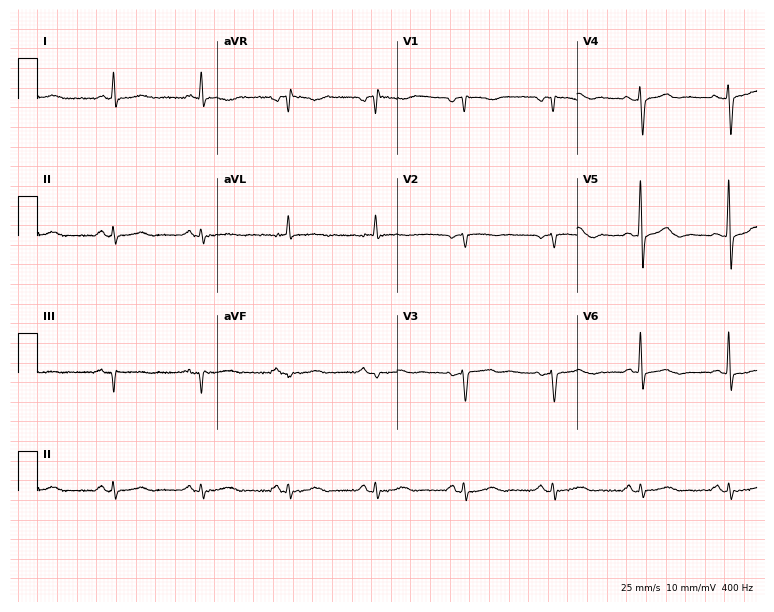
Resting 12-lead electrocardiogram. Patient: a female, 78 years old. Read as a normal ECG.